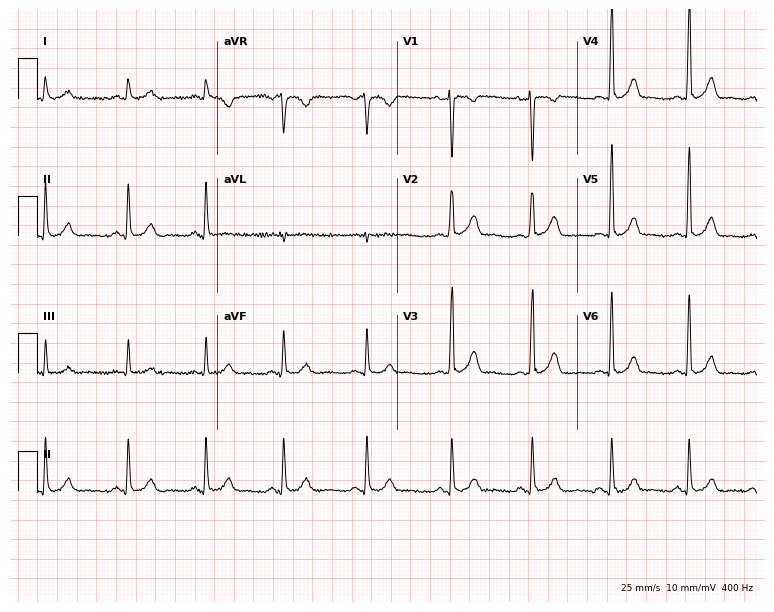
ECG (7.3-second recording at 400 Hz) — a 29-year-old female. Screened for six findings — first-degree AV block, right bundle branch block, left bundle branch block, sinus bradycardia, atrial fibrillation, sinus tachycardia — none is recorded. Findings outside these six are not listed.